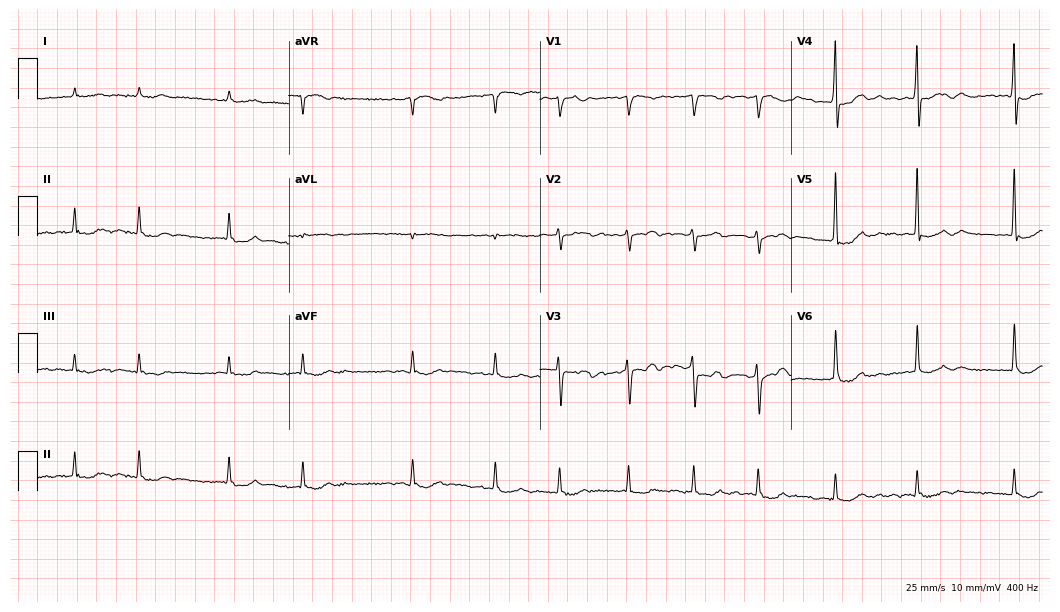
12-lead ECG (10.2-second recording at 400 Hz) from an 83-year-old male. Findings include atrial fibrillation (AF).